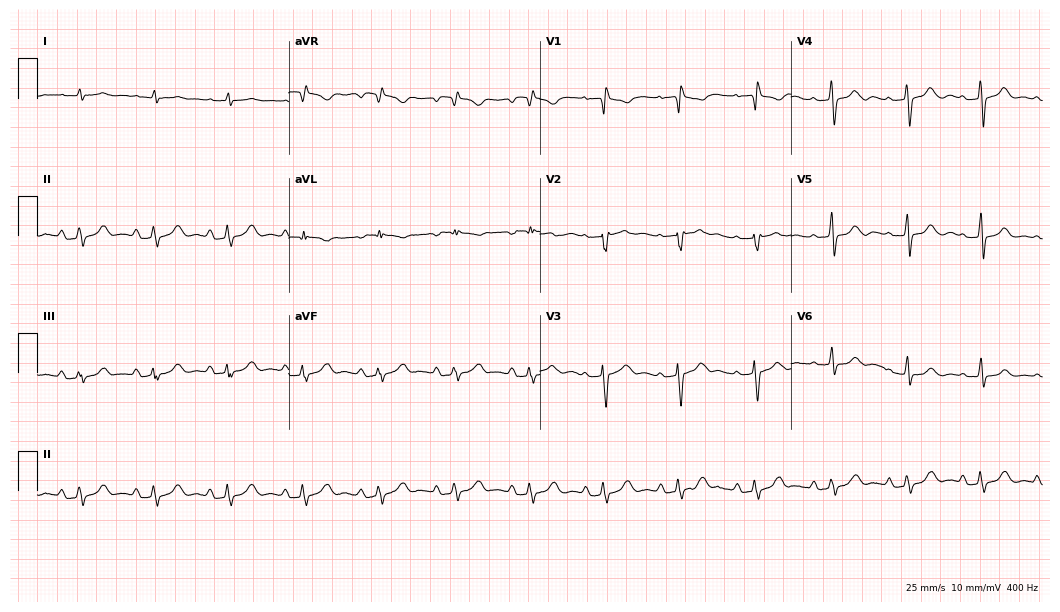
12-lead ECG from a 69-year-old male patient. No first-degree AV block, right bundle branch block (RBBB), left bundle branch block (LBBB), sinus bradycardia, atrial fibrillation (AF) or sinus tachycardia recorded for this tracing.